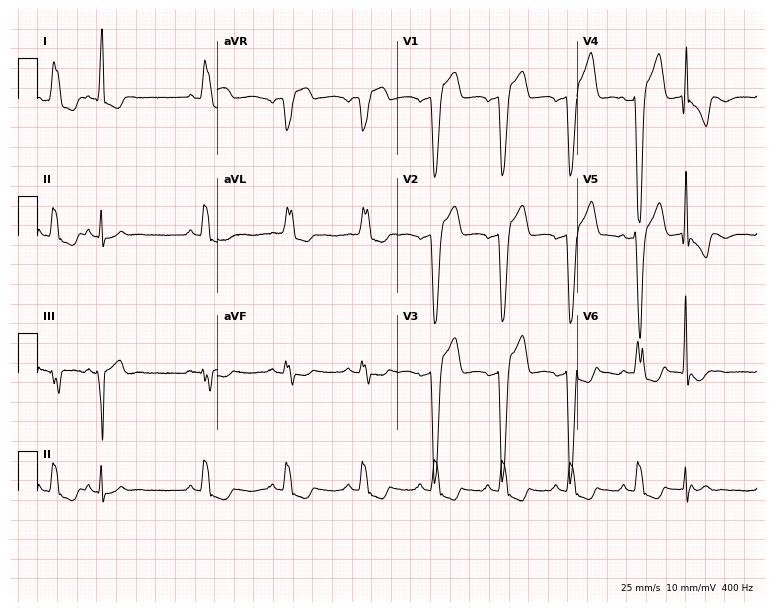
ECG (7.3-second recording at 400 Hz) — a female, 80 years old. Findings include left bundle branch block.